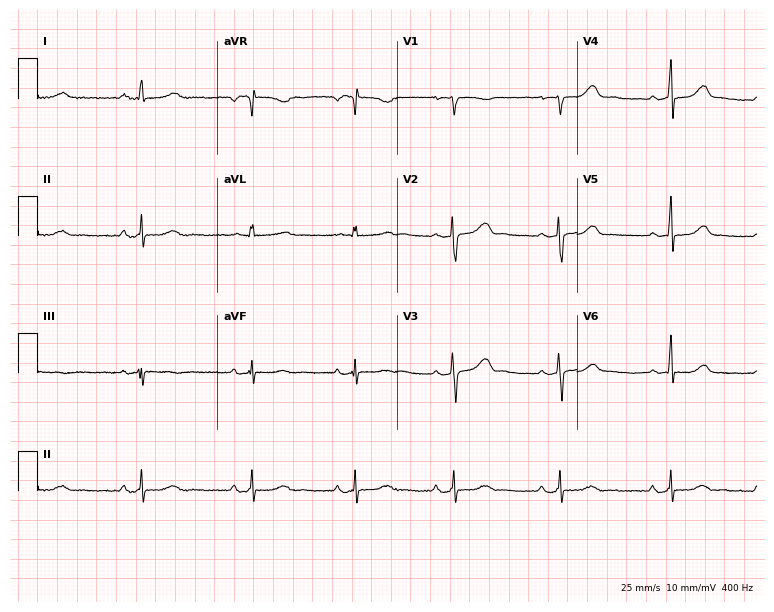
12-lead ECG from a 26-year-old woman (7.3-second recording at 400 Hz). Recorded interpretation: within normal limits.